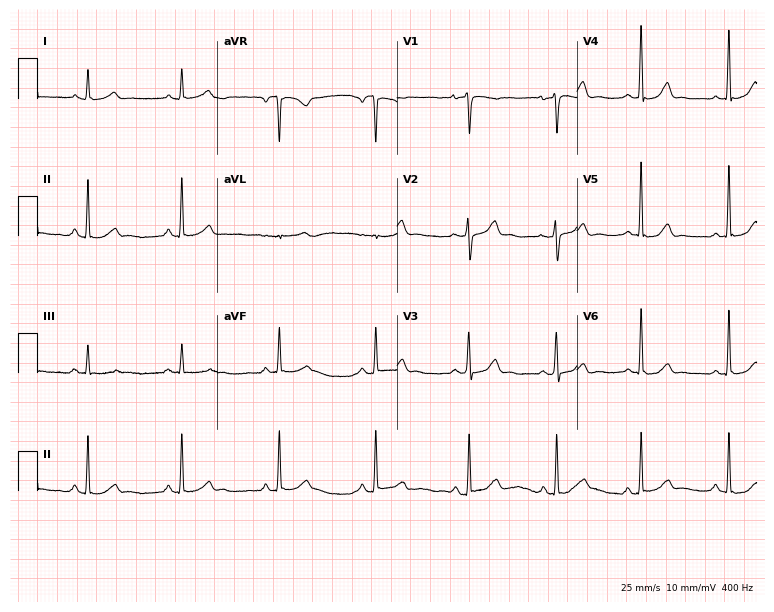
Electrocardiogram (7.3-second recording at 400 Hz), a 37-year-old female. Overall reading on record: normal ECG.